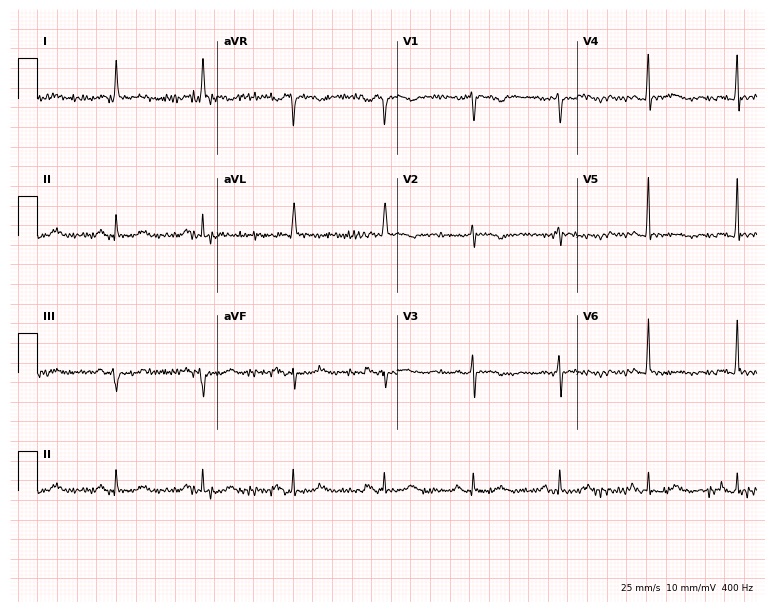
Standard 12-lead ECG recorded from a woman, 75 years old (7.3-second recording at 400 Hz). None of these six findings is recorded: first-degree AV block, right bundle branch block, left bundle branch block, sinus bradycardia, atrial fibrillation, sinus tachycardia. Only these six findings were labelled.